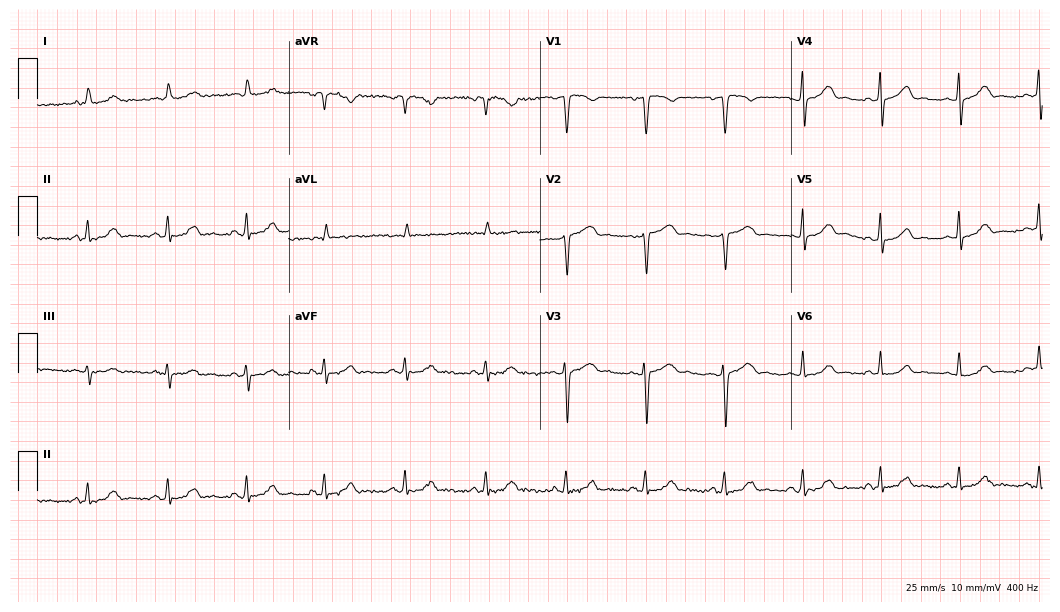
Electrocardiogram, a woman, 46 years old. Of the six screened findings (first-degree AV block, right bundle branch block (RBBB), left bundle branch block (LBBB), sinus bradycardia, atrial fibrillation (AF), sinus tachycardia), none is recorded.